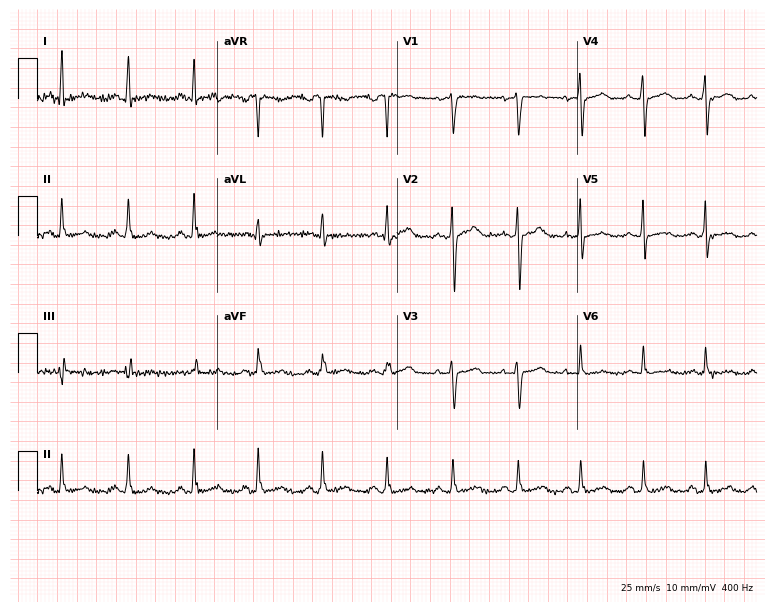
Resting 12-lead electrocardiogram (7.3-second recording at 400 Hz). Patient: a woman, 48 years old. None of these six findings is recorded: first-degree AV block, right bundle branch block, left bundle branch block, sinus bradycardia, atrial fibrillation, sinus tachycardia.